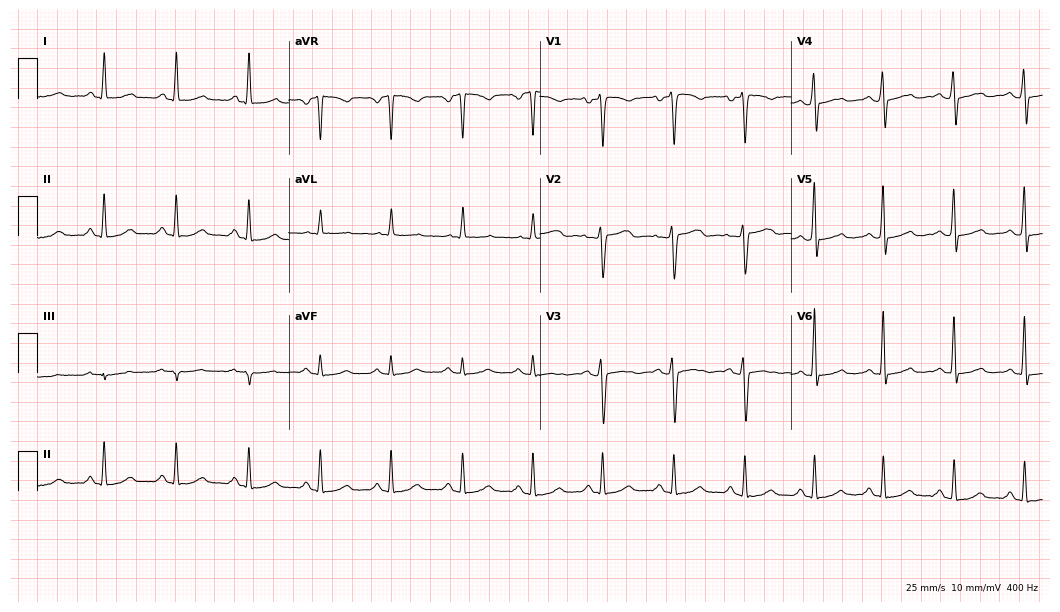
Resting 12-lead electrocardiogram. Patient: a 48-year-old female. None of these six findings is recorded: first-degree AV block, right bundle branch block, left bundle branch block, sinus bradycardia, atrial fibrillation, sinus tachycardia.